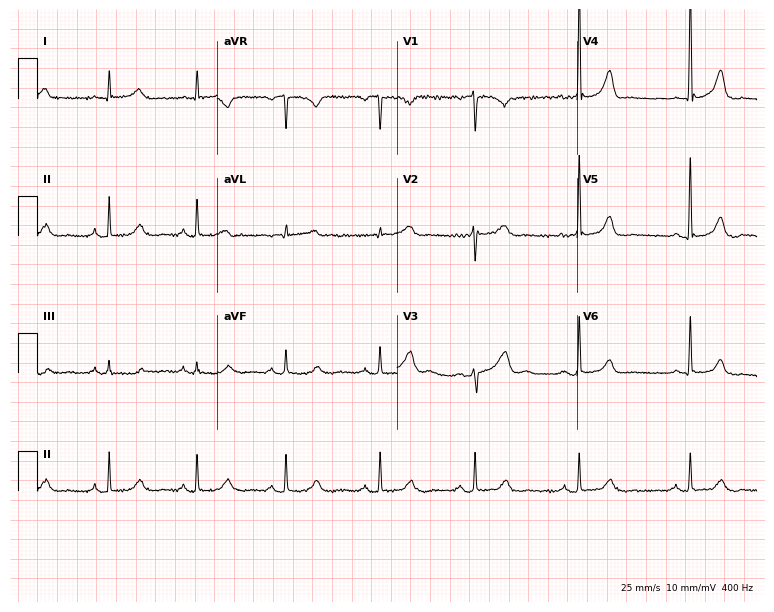
Standard 12-lead ECG recorded from a female patient, 46 years old (7.3-second recording at 400 Hz). None of these six findings is recorded: first-degree AV block, right bundle branch block (RBBB), left bundle branch block (LBBB), sinus bradycardia, atrial fibrillation (AF), sinus tachycardia. Other findings, if any, are not listed.